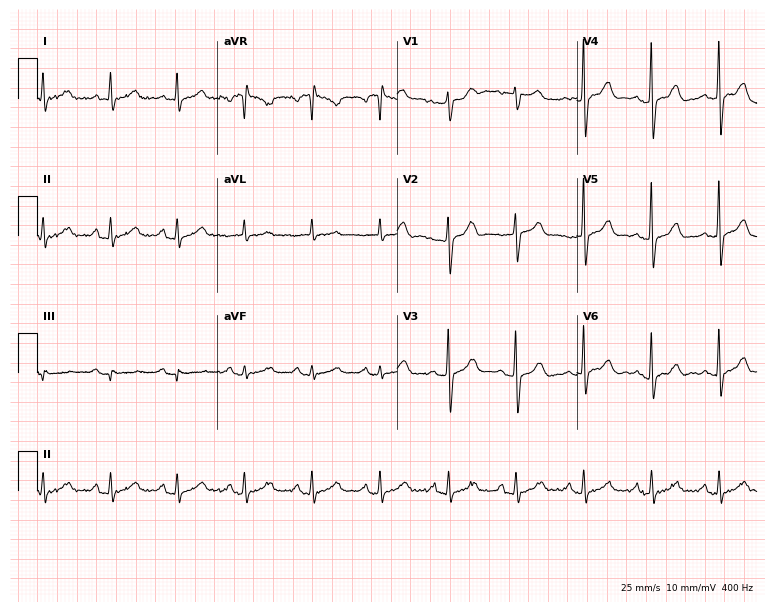
12-lead ECG from a woman, 62 years old. Labelled as a normal ECG.